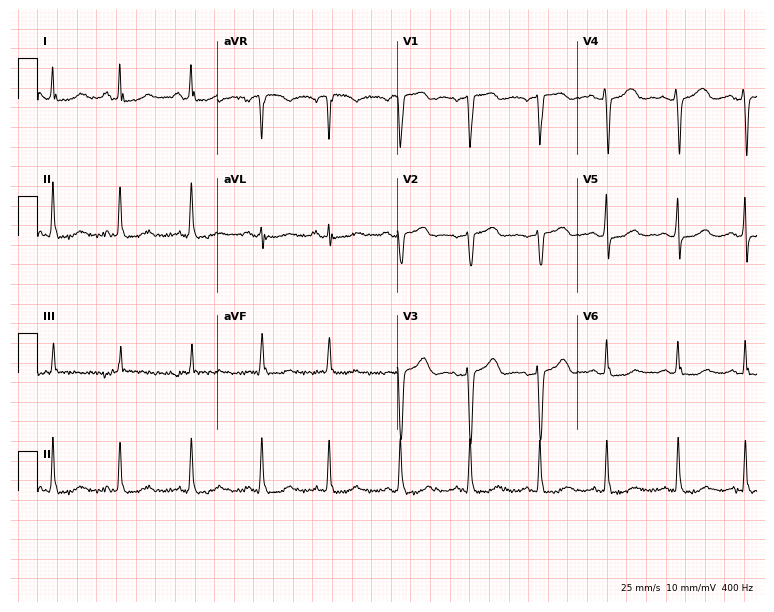
ECG (7.3-second recording at 400 Hz) — a female, 54 years old. Screened for six findings — first-degree AV block, right bundle branch block (RBBB), left bundle branch block (LBBB), sinus bradycardia, atrial fibrillation (AF), sinus tachycardia — none is recorded. Findings outside these six are not listed.